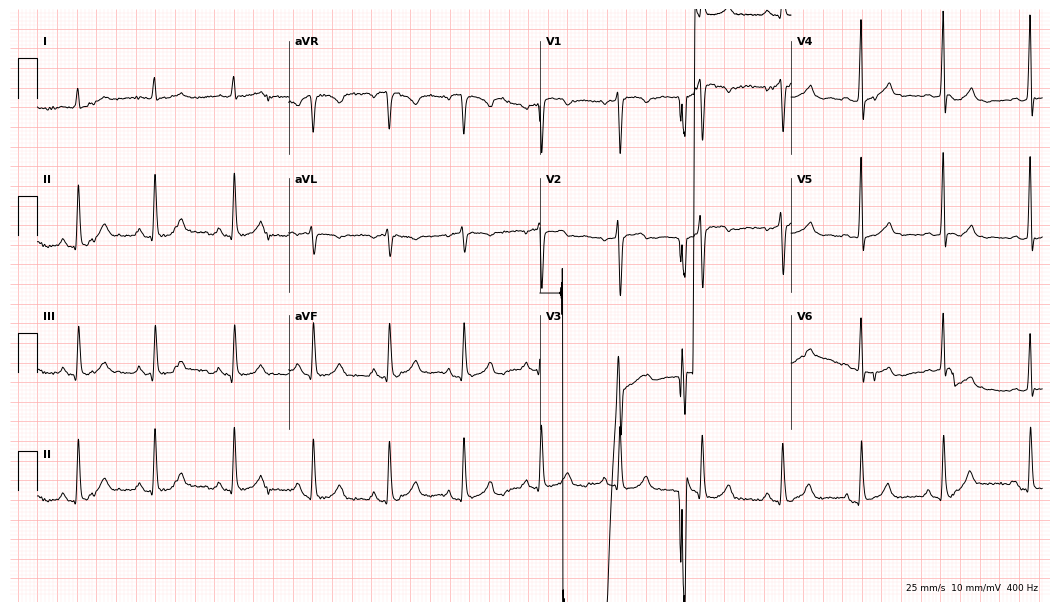
ECG — a 35-year-old female patient. Screened for six findings — first-degree AV block, right bundle branch block, left bundle branch block, sinus bradycardia, atrial fibrillation, sinus tachycardia — none is recorded. Findings outside these six are not listed.